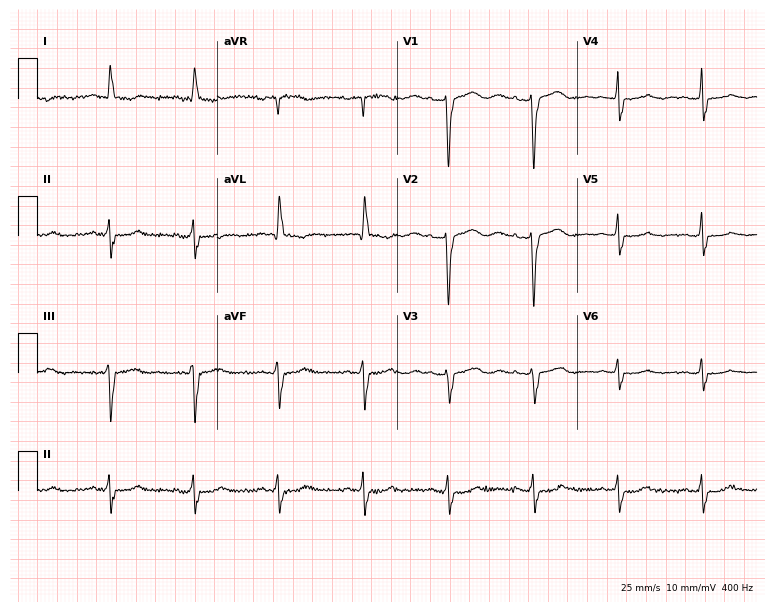
Standard 12-lead ECG recorded from a 47-year-old female patient (7.3-second recording at 400 Hz). None of these six findings is recorded: first-degree AV block, right bundle branch block, left bundle branch block, sinus bradycardia, atrial fibrillation, sinus tachycardia.